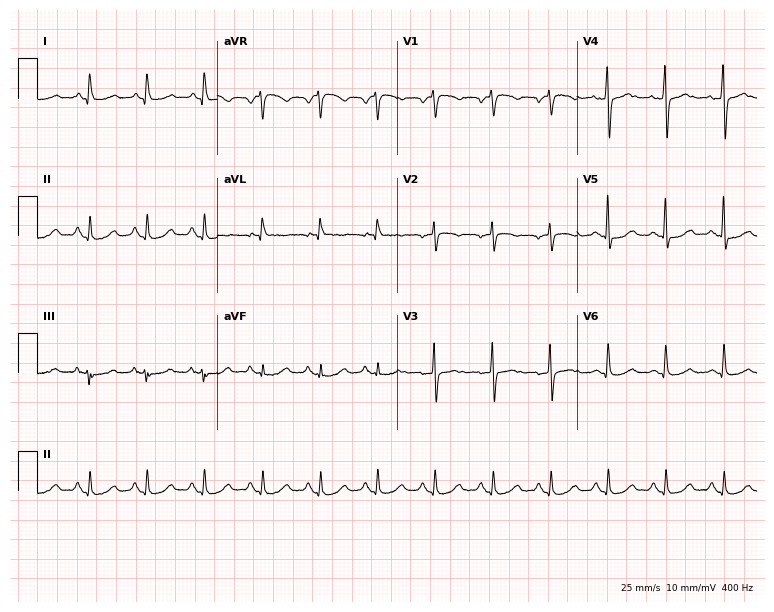
Standard 12-lead ECG recorded from a female patient, 79 years old. Read as a normal ECG.